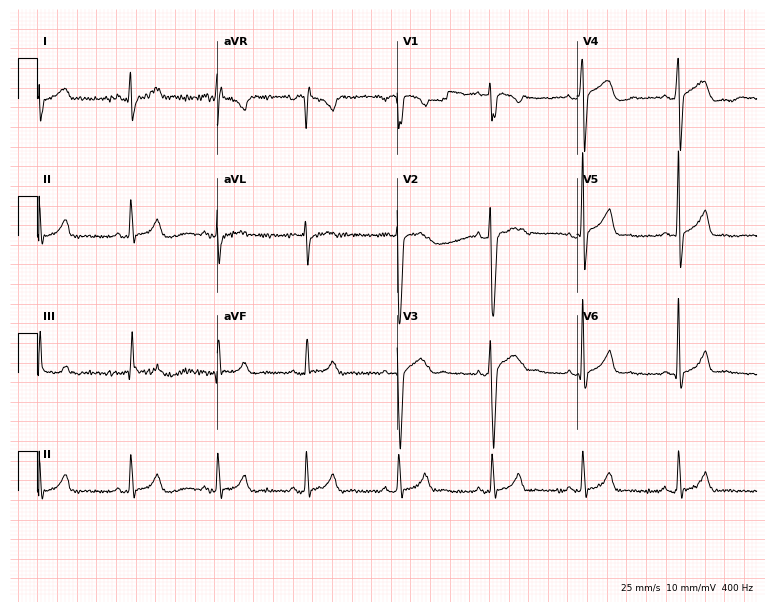
ECG (7.3-second recording at 400 Hz) — a 29-year-old male patient. Labelled as a normal ECG.